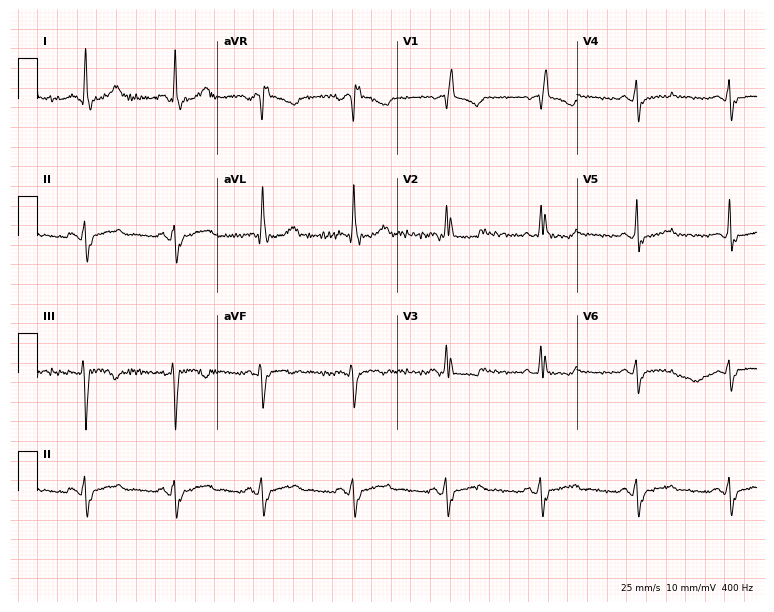
Resting 12-lead electrocardiogram (7.3-second recording at 400 Hz). Patient: a 65-year-old female. The tracing shows right bundle branch block.